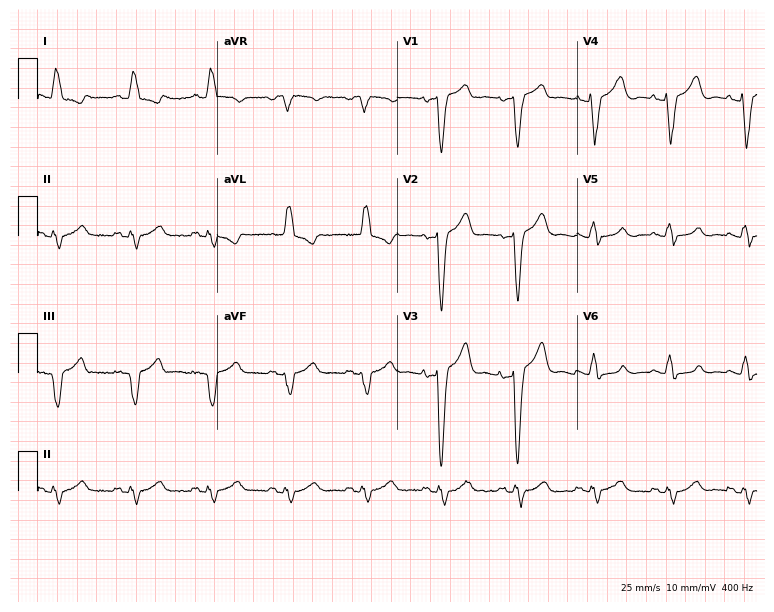
Electrocardiogram (7.3-second recording at 400 Hz), a woman, 83 years old. Interpretation includes left bundle branch block.